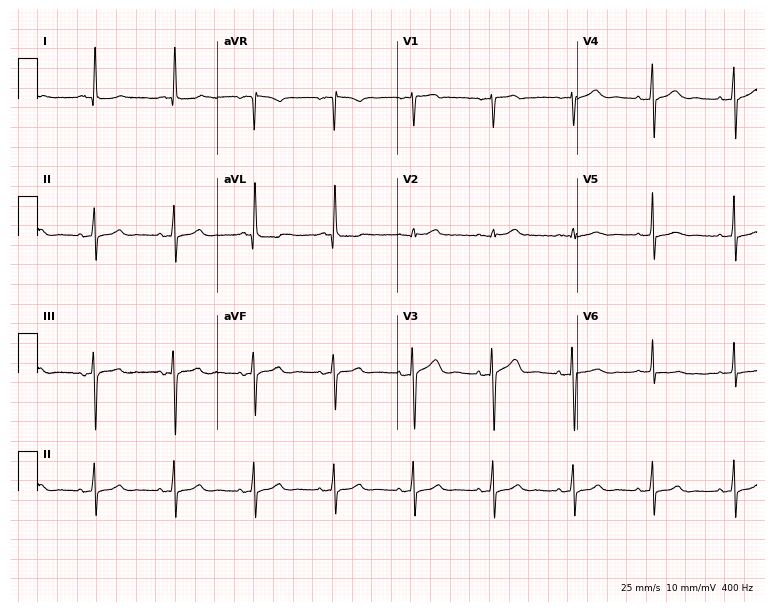
Resting 12-lead electrocardiogram (7.3-second recording at 400 Hz). Patient: a female, 71 years old. Read as a normal ECG.